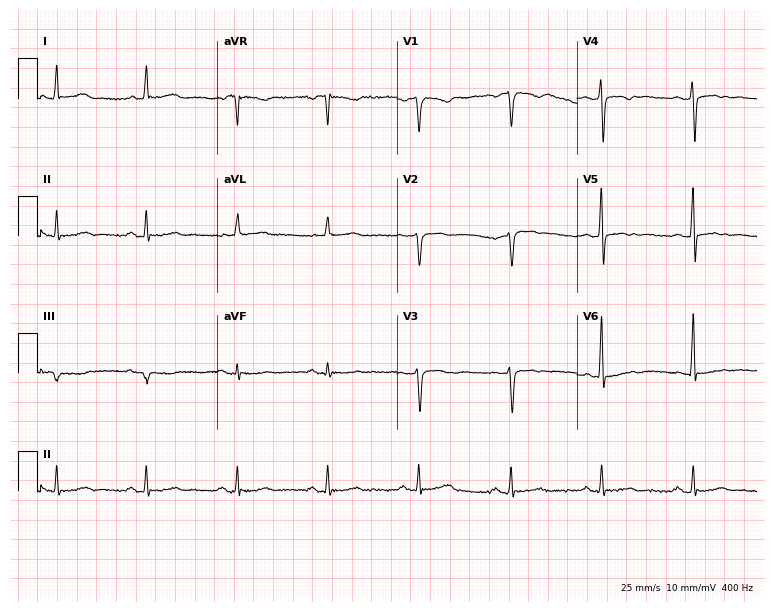
Resting 12-lead electrocardiogram. Patient: a 61-year-old male. None of these six findings is recorded: first-degree AV block, right bundle branch block, left bundle branch block, sinus bradycardia, atrial fibrillation, sinus tachycardia. Other findings, if any, are not listed.